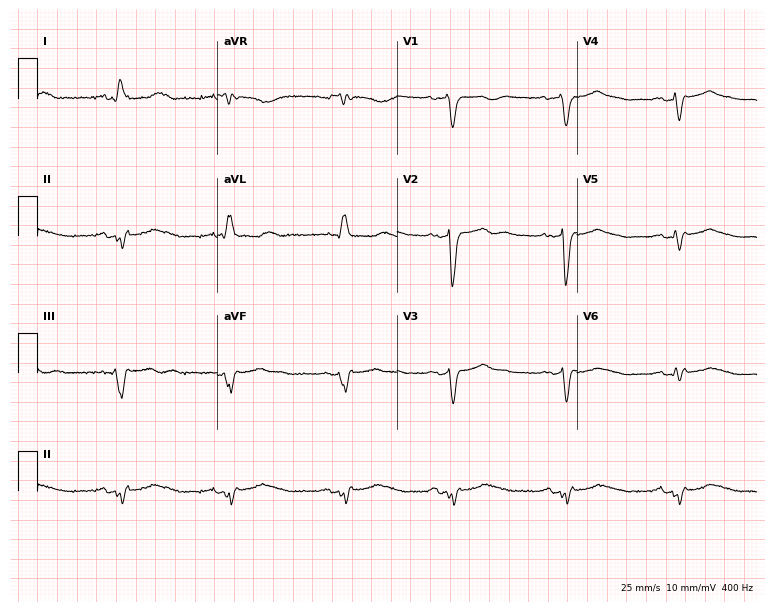
ECG (7.3-second recording at 400 Hz) — a woman, 61 years old. Findings include left bundle branch block.